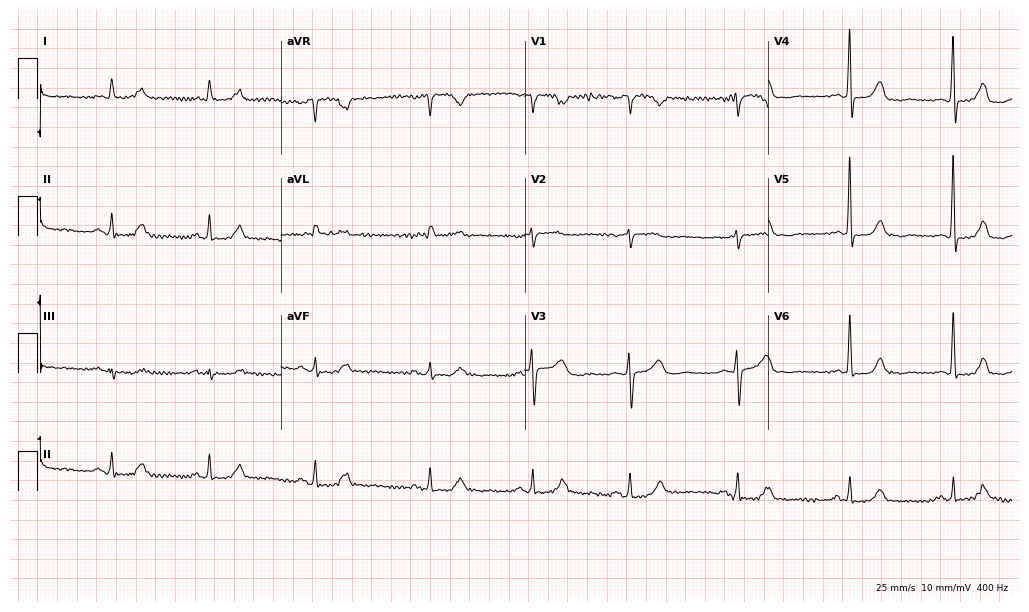
ECG — a woman, 70 years old. Screened for six findings — first-degree AV block, right bundle branch block (RBBB), left bundle branch block (LBBB), sinus bradycardia, atrial fibrillation (AF), sinus tachycardia — none is recorded.